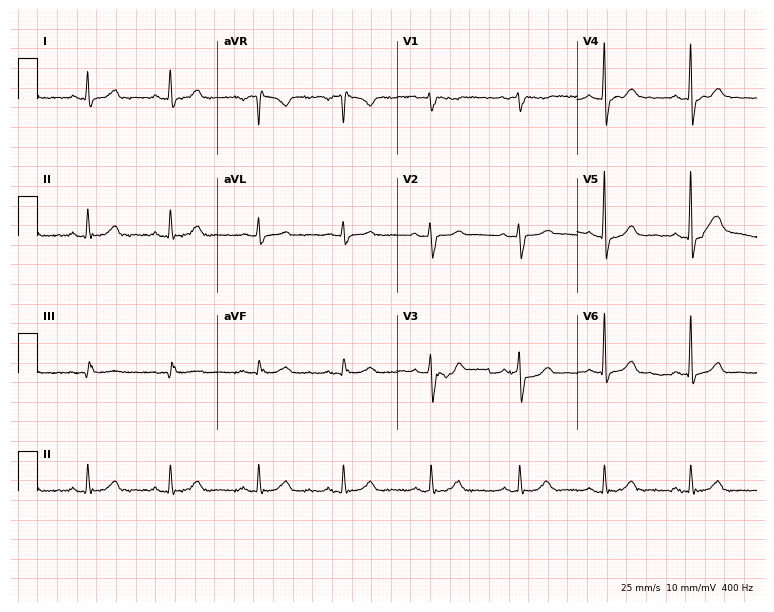
ECG — a 36-year-old female. Labelled as a normal ECG.